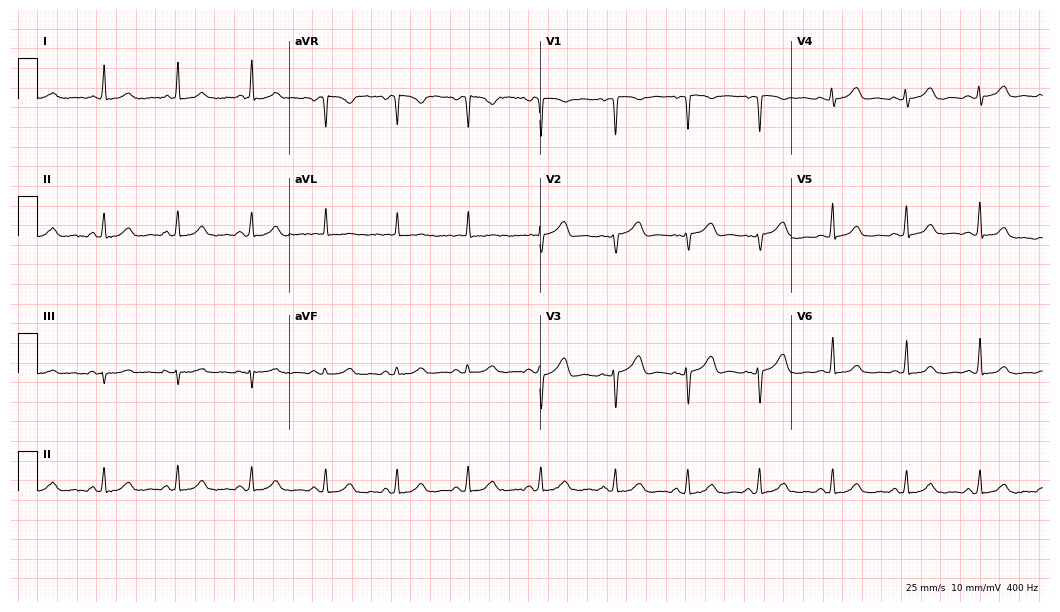
ECG (10.2-second recording at 400 Hz) — a woman, 47 years old. Screened for six findings — first-degree AV block, right bundle branch block, left bundle branch block, sinus bradycardia, atrial fibrillation, sinus tachycardia — none is recorded. Findings outside these six are not listed.